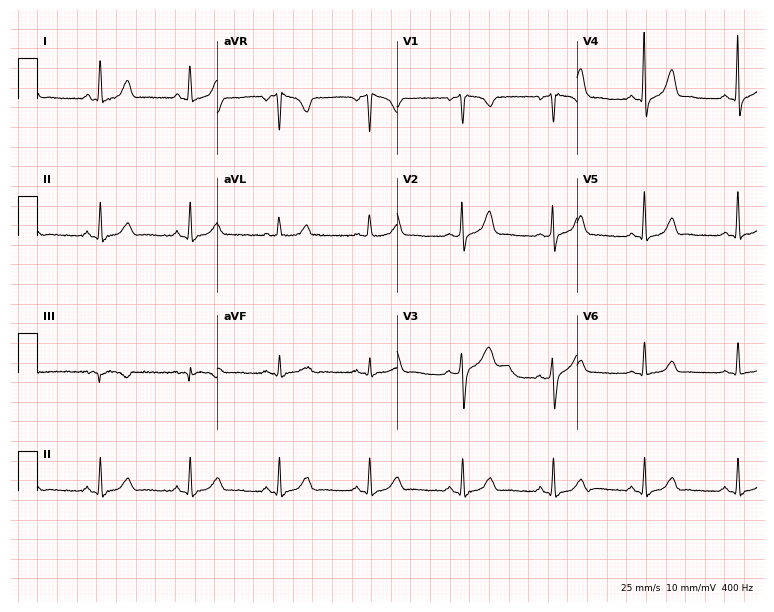
ECG (7.3-second recording at 400 Hz) — a female, 54 years old. Screened for six findings — first-degree AV block, right bundle branch block, left bundle branch block, sinus bradycardia, atrial fibrillation, sinus tachycardia — none is recorded.